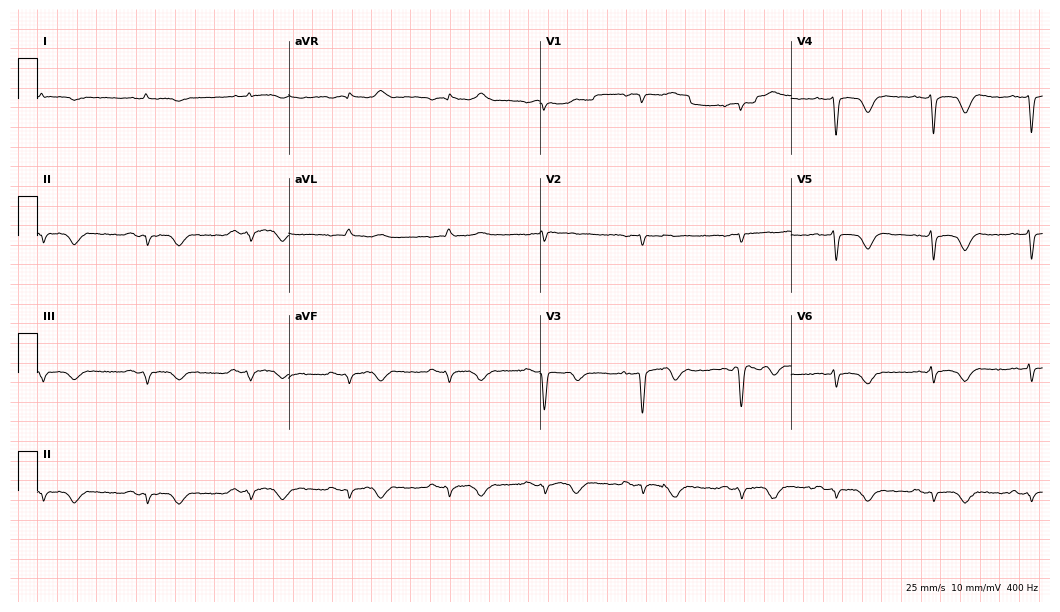
Resting 12-lead electrocardiogram (10.2-second recording at 400 Hz). Patient: a man, 84 years old. None of these six findings is recorded: first-degree AV block, right bundle branch block, left bundle branch block, sinus bradycardia, atrial fibrillation, sinus tachycardia.